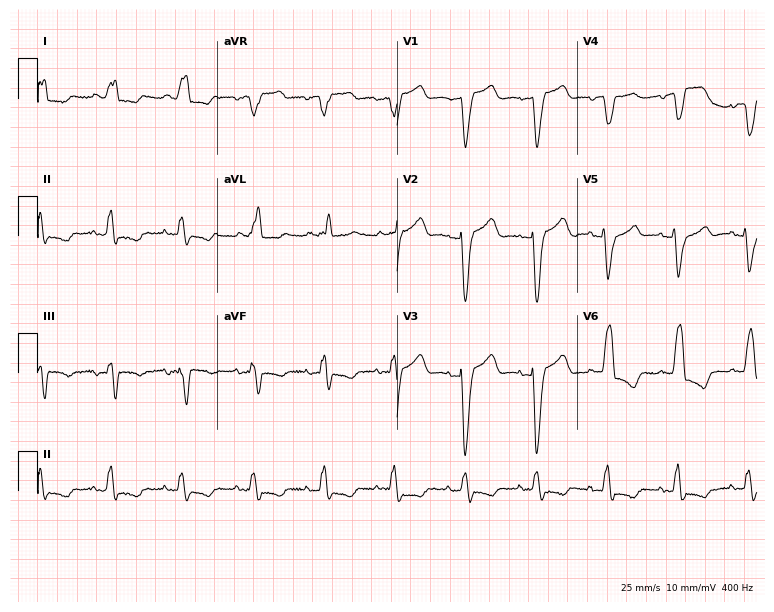
12-lead ECG from a female, 76 years old. Shows left bundle branch block (LBBB).